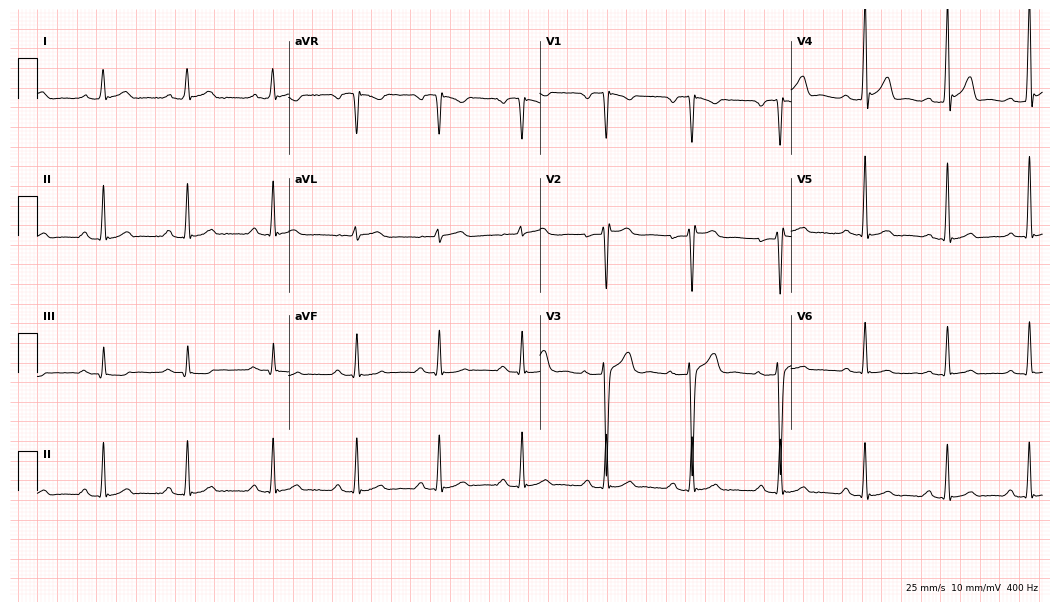
Standard 12-lead ECG recorded from a female patient, 35 years old. The tracing shows first-degree AV block.